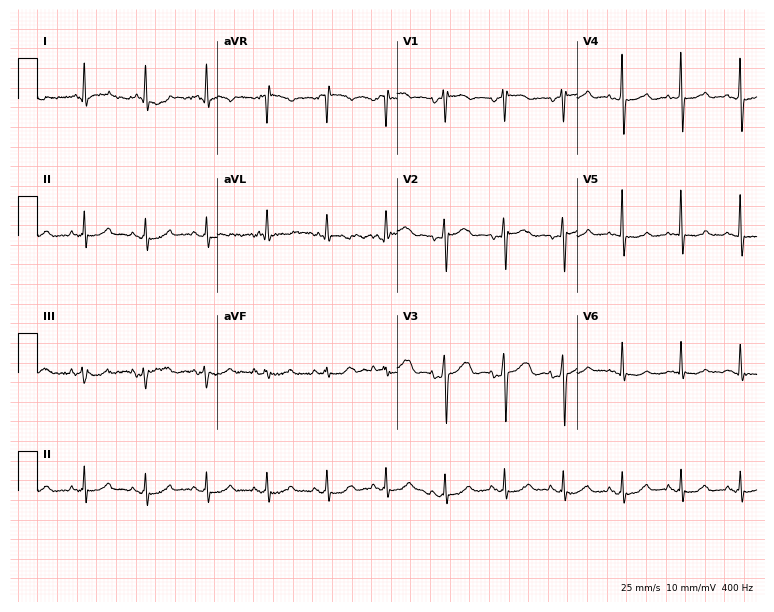
Resting 12-lead electrocardiogram. Patient: a male, 84 years old. None of these six findings is recorded: first-degree AV block, right bundle branch block, left bundle branch block, sinus bradycardia, atrial fibrillation, sinus tachycardia.